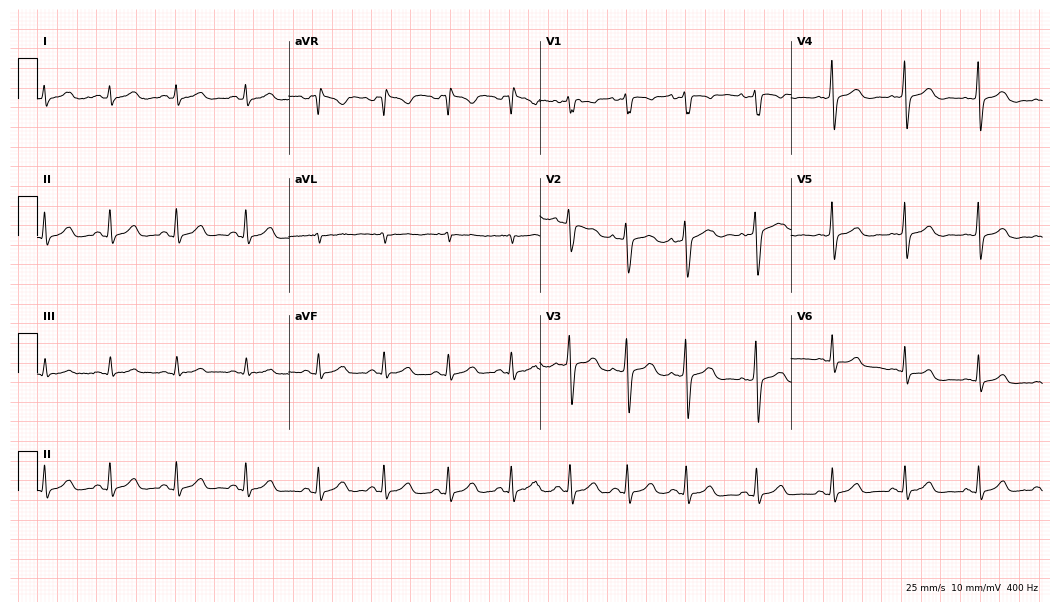
12-lead ECG from a female, 21 years old. Labelled as a normal ECG.